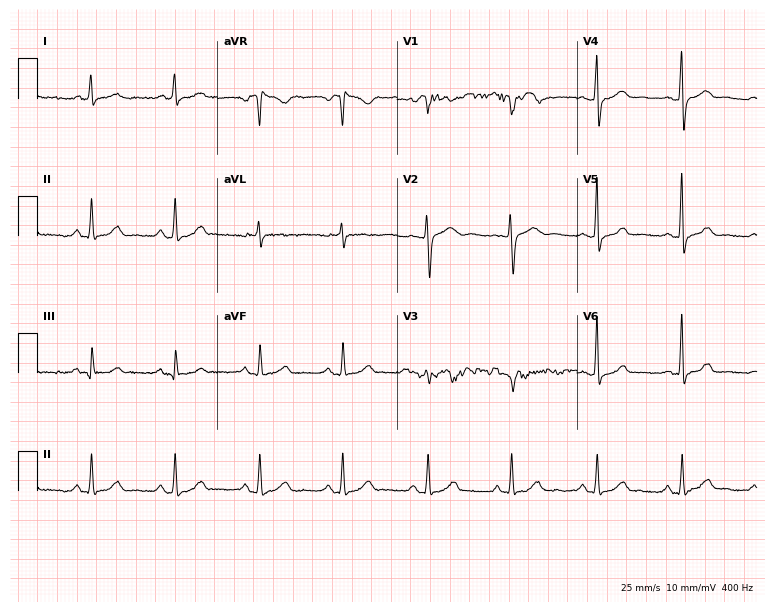
ECG — a female, 39 years old. Labelled as a normal ECG.